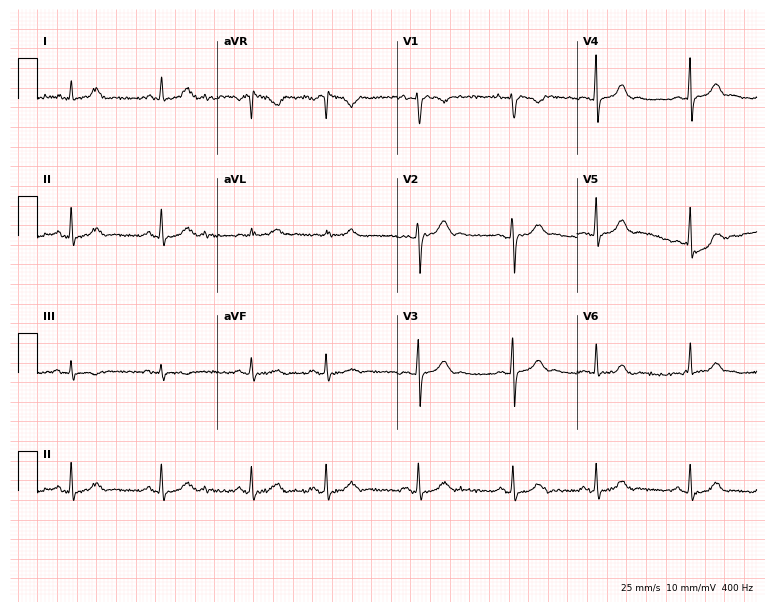
12-lead ECG from a female, 17 years old. No first-degree AV block, right bundle branch block (RBBB), left bundle branch block (LBBB), sinus bradycardia, atrial fibrillation (AF) or sinus tachycardia recorded for this tracing.